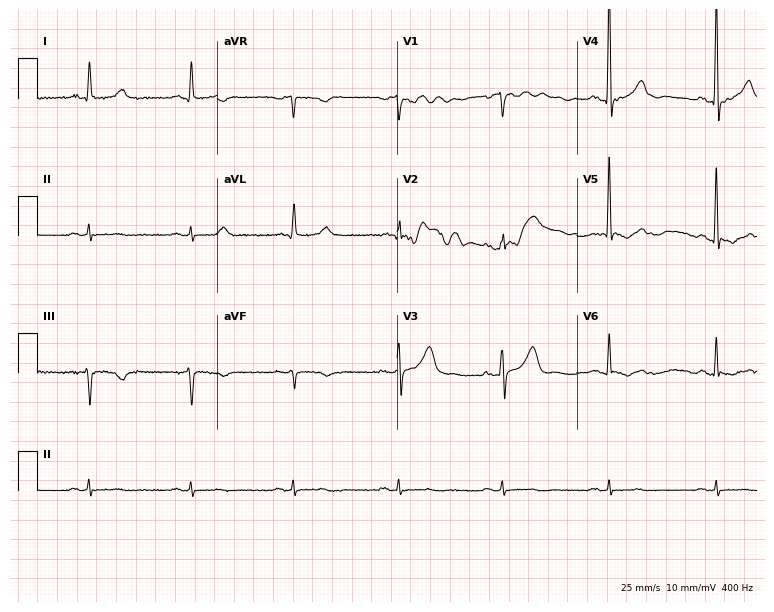
Standard 12-lead ECG recorded from a male patient, 71 years old. Read as a normal ECG.